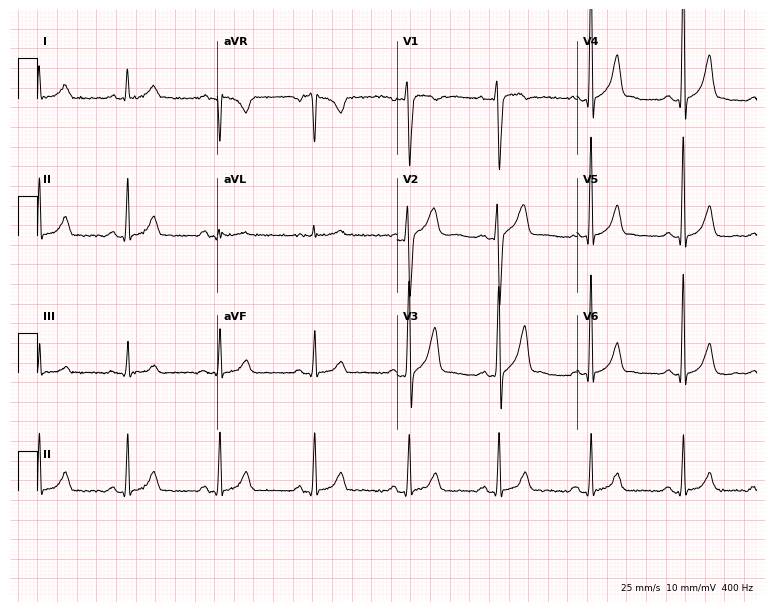
12-lead ECG from a man, 47 years old. Screened for six findings — first-degree AV block, right bundle branch block (RBBB), left bundle branch block (LBBB), sinus bradycardia, atrial fibrillation (AF), sinus tachycardia — none is recorded.